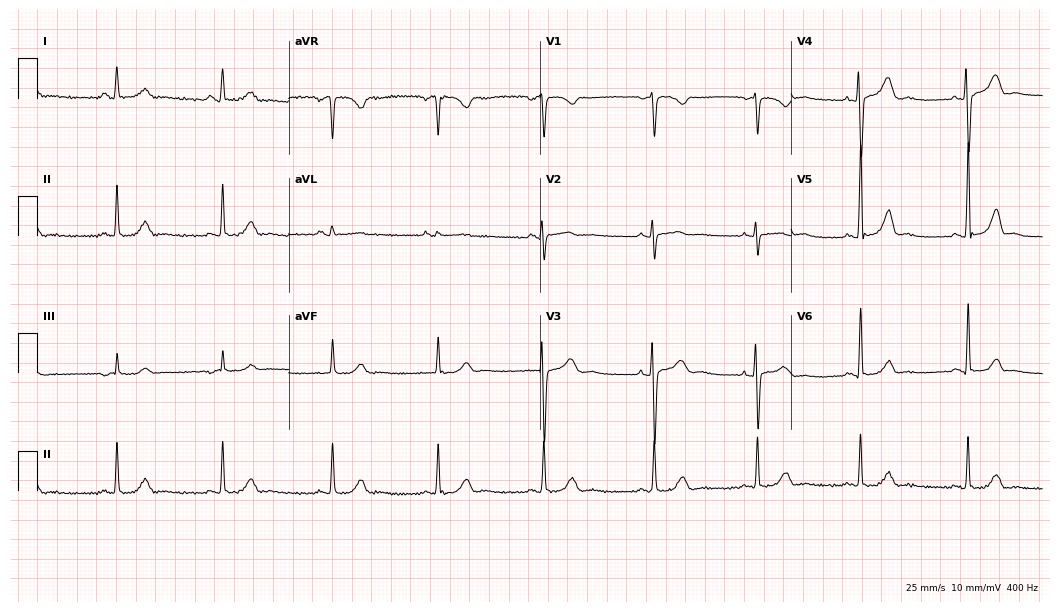
12-lead ECG from a female, 31 years old (10.2-second recording at 400 Hz). Recorded interpretation: within normal limits.